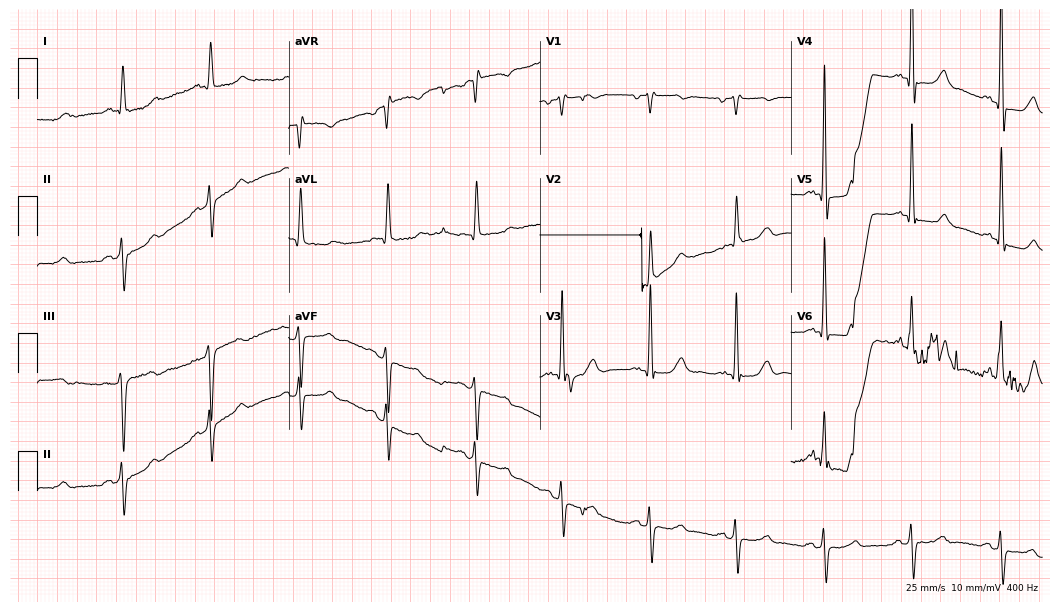
12-lead ECG from an 84-year-old male patient. Screened for six findings — first-degree AV block, right bundle branch block (RBBB), left bundle branch block (LBBB), sinus bradycardia, atrial fibrillation (AF), sinus tachycardia — none is recorded. Only these six findings were labelled.